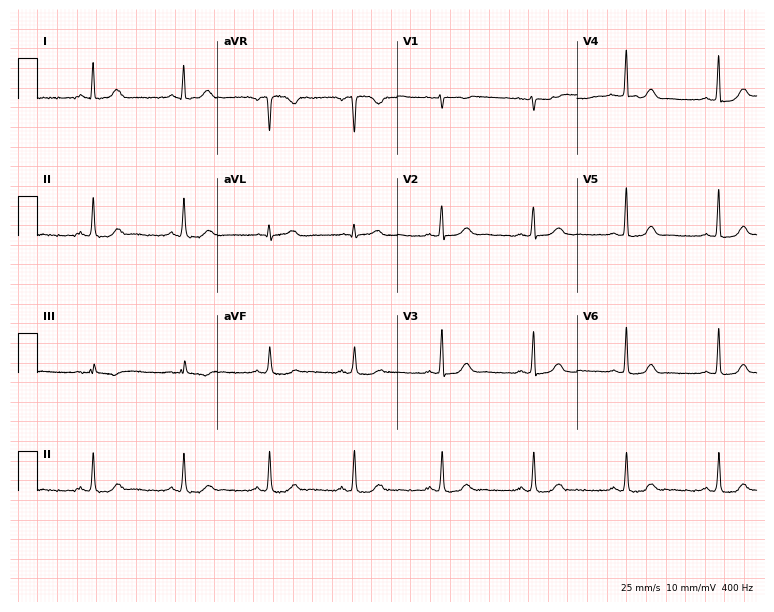
Resting 12-lead electrocardiogram (7.3-second recording at 400 Hz). Patient: a 39-year-old female. Read as a normal ECG.